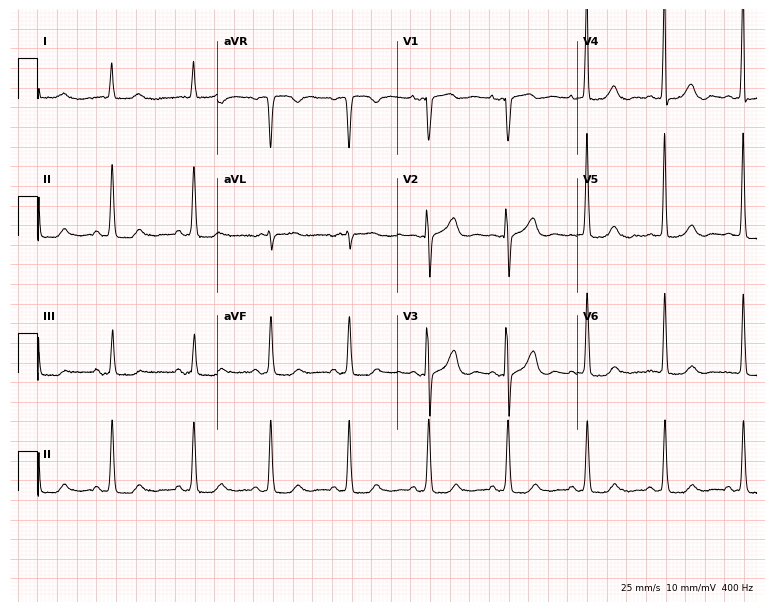
Electrocardiogram (7.3-second recording at 400 Hz), an 82-year-old female patient. Overall reading on record: normal ECG.